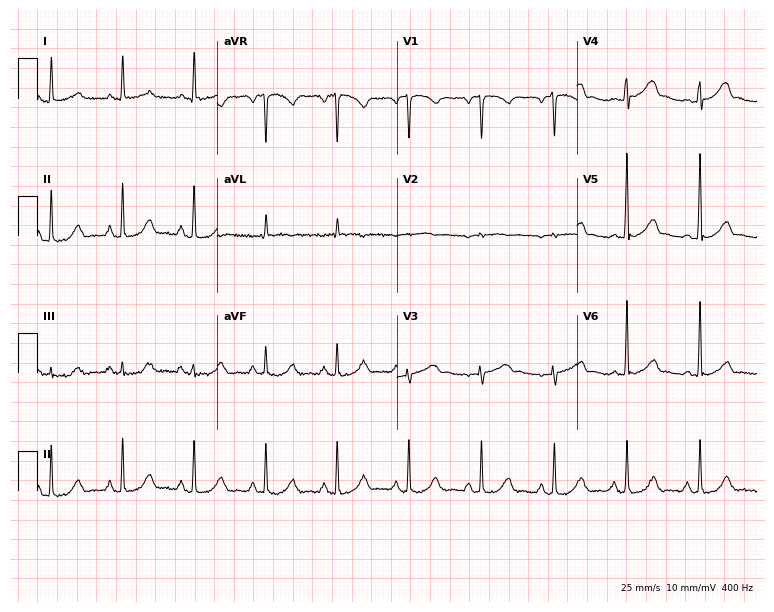
Resting 12-lead electrocardiogram. Patient: a 48-year-old female. Read as a normal ECG.